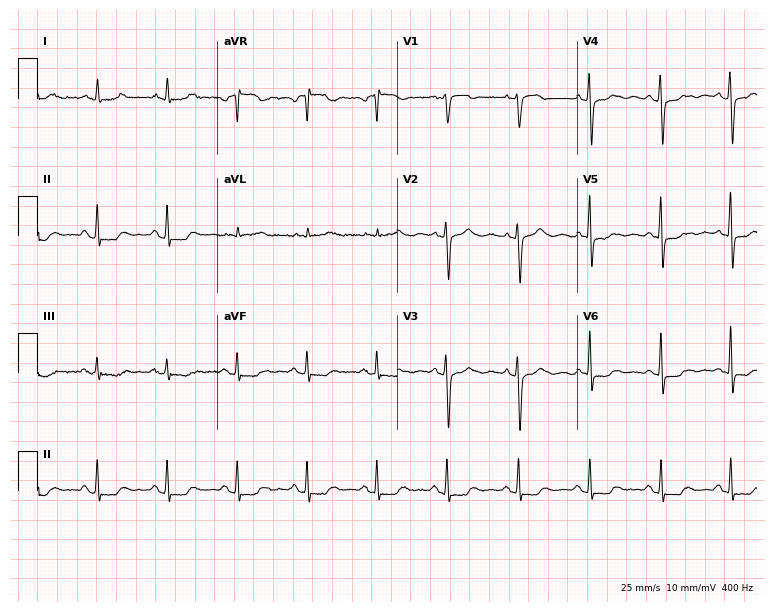
12-lead ECG from a female, 62 years old (7.3-second recording at 400 Hz). Recorded interpretation: within normal limits.